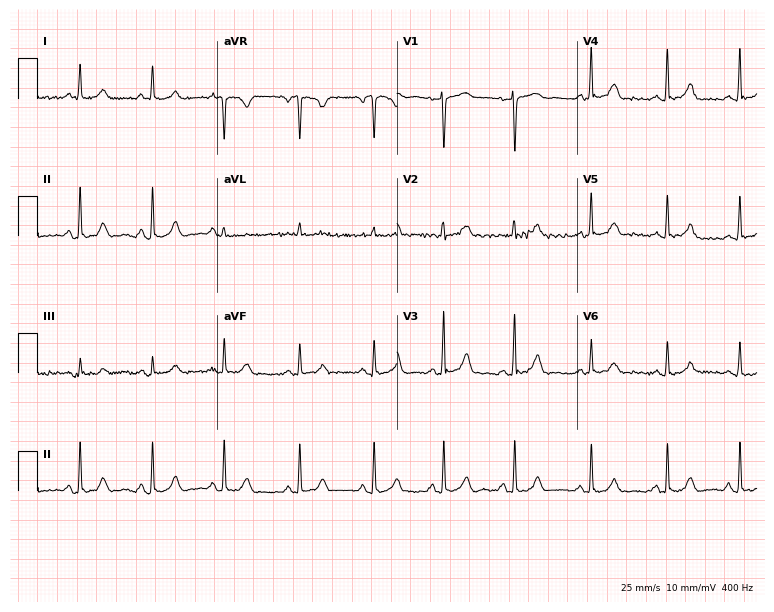
Electrocardiogram (7.3-second recording at 400 Hz), a 30-year-old woman. Overall reading on record: normal ECG.